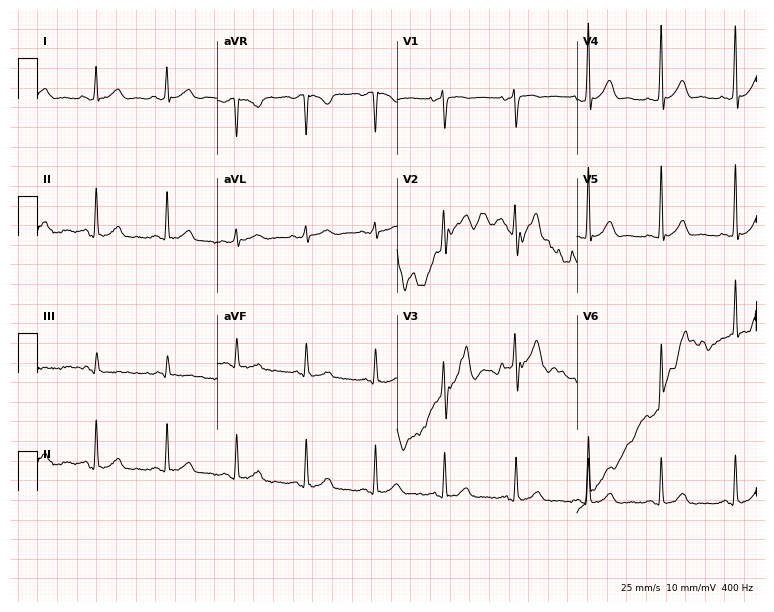
Electrocardiogram, a 36-year-old man. Of the six screened findings (first-degree AV block, right bundle branch block, left bundle branch block, sinus bradycardia, atrial fibrillation, sinus tachycardia), none is recorded. Findings outside these six are not listed.